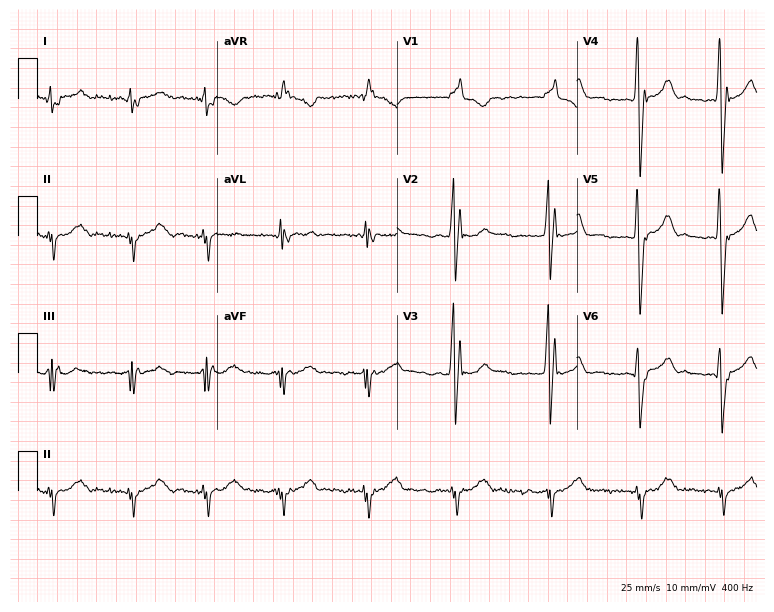
Electrocardiogram (7.3-second recording at 400 Hz), a male, 71 years old. Of the six screened findings (first-degree AV block, right bundle branch block, left bundle branch block, sinus bradycardia, atrial fibrillation, sinus tachycardia), none is recorded.